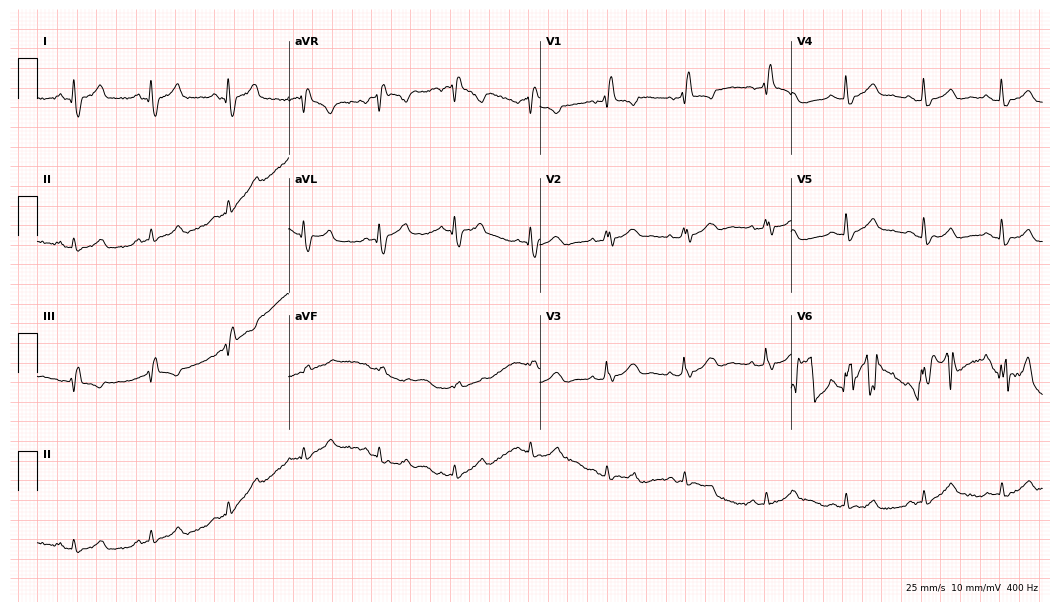
Resting 12-lead electrocardiogram (10.2-second recording at 400 Hz). Patient: a 53-year-old female. The tracing shows right bundle branch block.